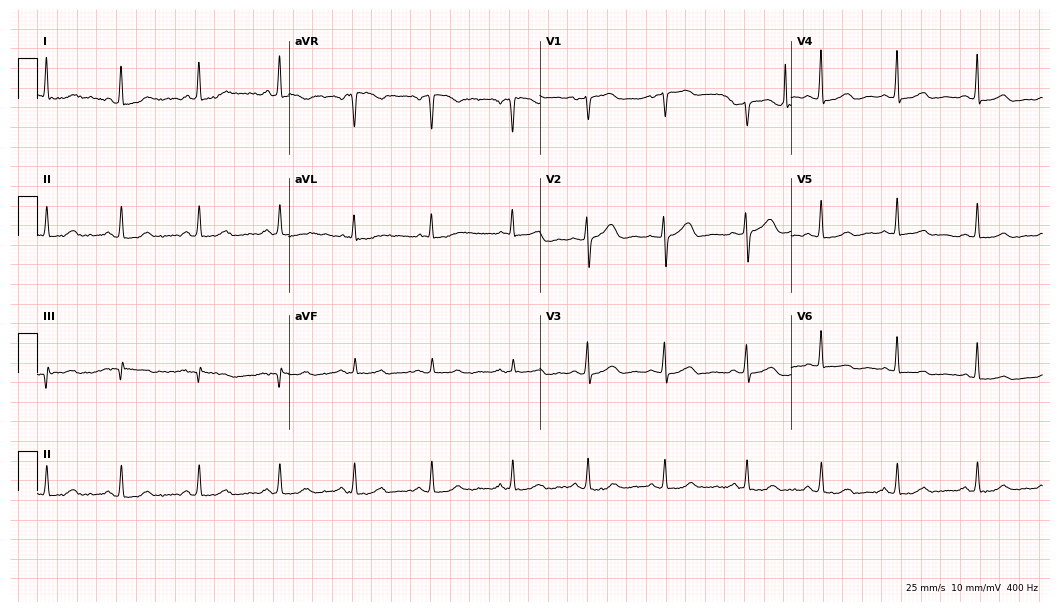
Standard 12-lead ECG recorded from a 63-year-old female. Read as a normal ECG.